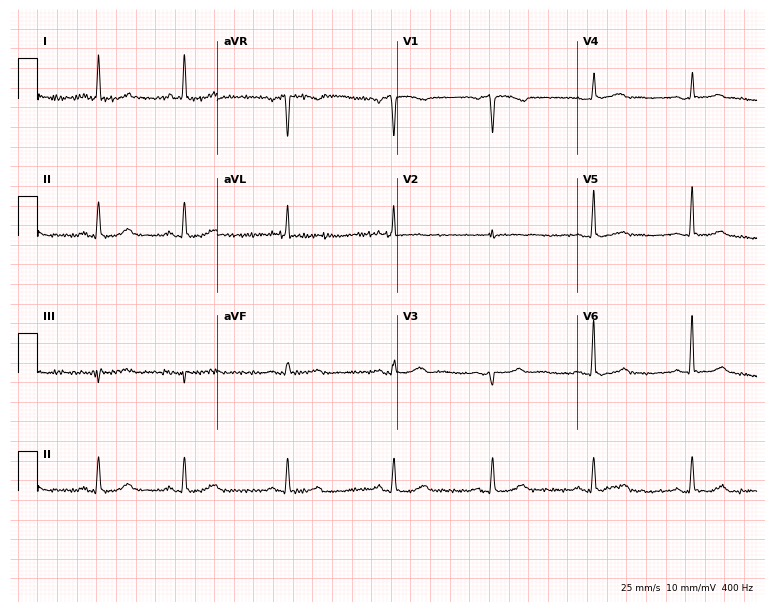
ECG — a 52-year-old male patient. Labelled as a normal ECG.